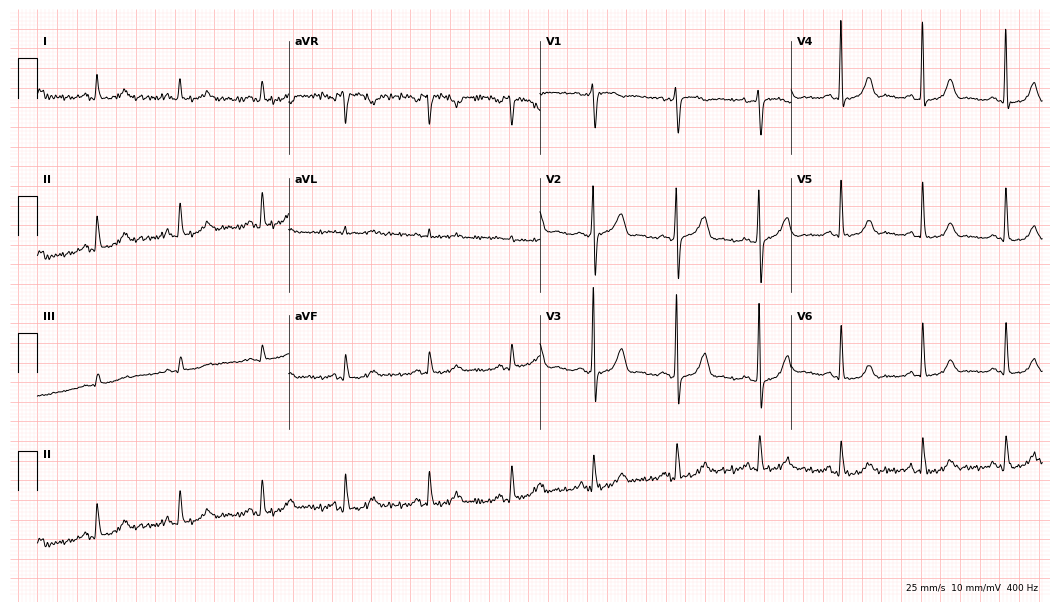
Resting 12-lead electrocardiogram. Patient: a 63-year-old female. None of these six findings is recorded: first-degree AV block, right bundle branch block, left bundle branch block, sinus bradycardia, atrial fibrillation, sinus tachycardia. Only these six findings were labelled.